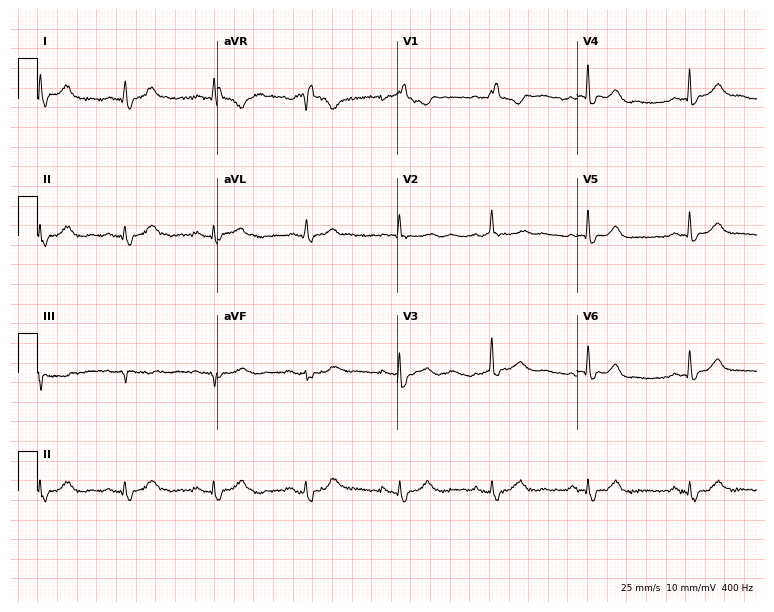
Resting 12-lead electrocardiogram. Patient: a female, 61 years old. The tracing shows right bundle branch block.